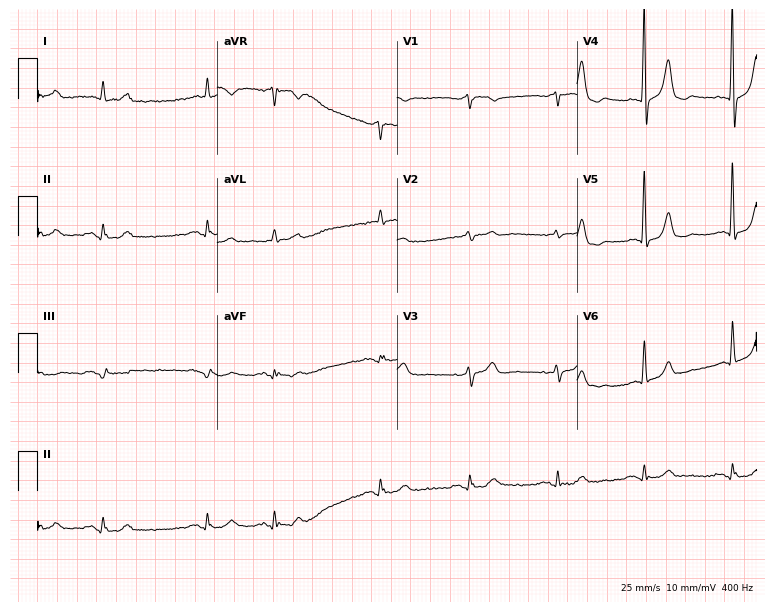
Standard 12-lead ECG recorded from an 81-year-old male patient (7.3-second recording at 400 Hz). None of these six findings is recorded: first-degree AV block, right bundle branch block, left bundle branch block, sinus bradycardia, atrial fibrillation, sinus tachycardia. Only these six findings were labelled.